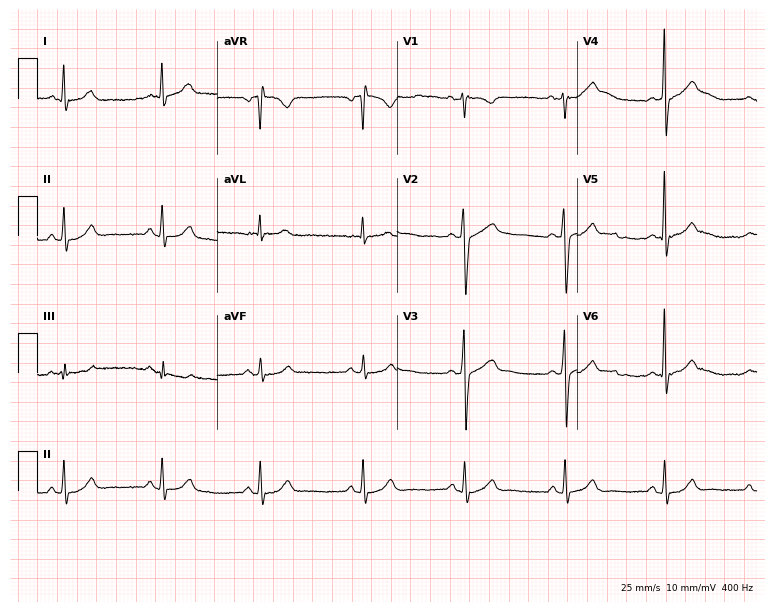
ECG — a 47-year-old male patient. Labelled as a normal ECG.